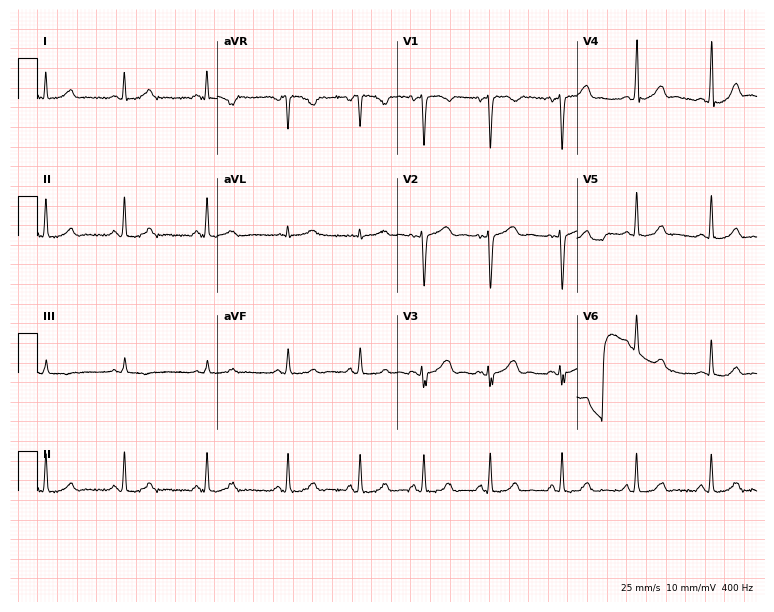
Resting 12-lead electrocardiogram (7.3-second recording at 400 Hz). Patient: a female, 30 years old. Read as a normal ECG.